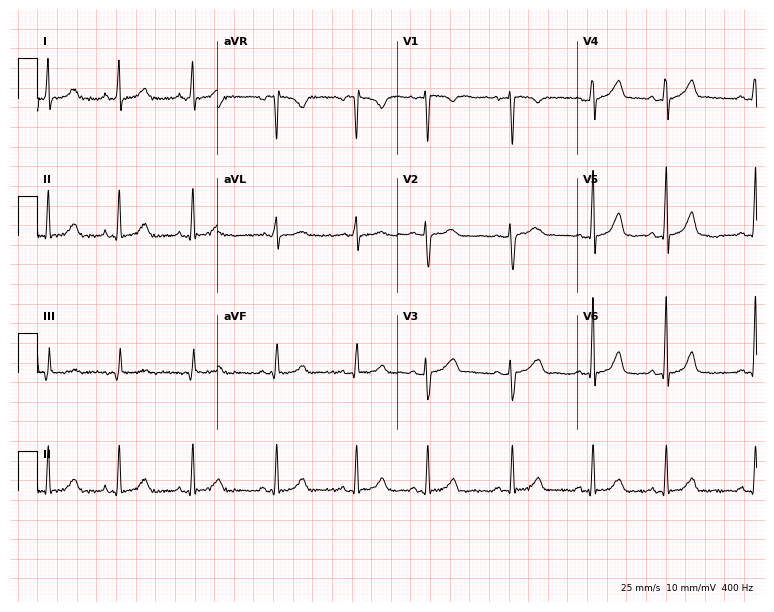
12-lead ECG from a 26-year-old female (7.3-second recording at 400 Hz). Recorded interpretation: within normal limits.